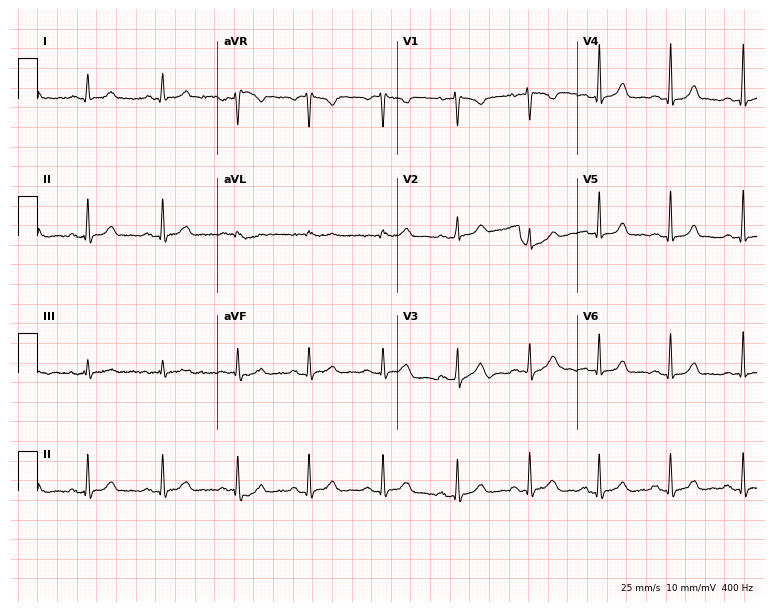
ECG — a 31-year-old female patient. Labelled as a normal ECG.